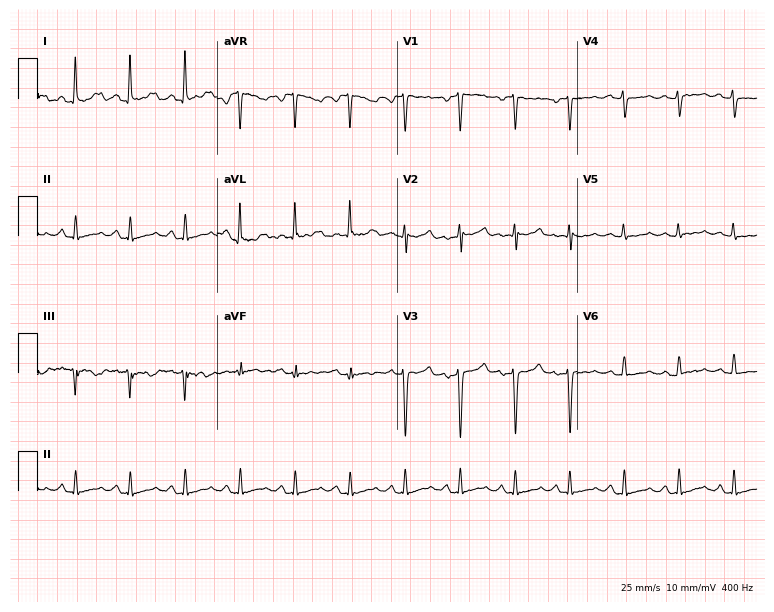
ECG — a woman, 51 years old. Findings include sinus tachycardia (a sinus rate of 100 beats per minute or more).